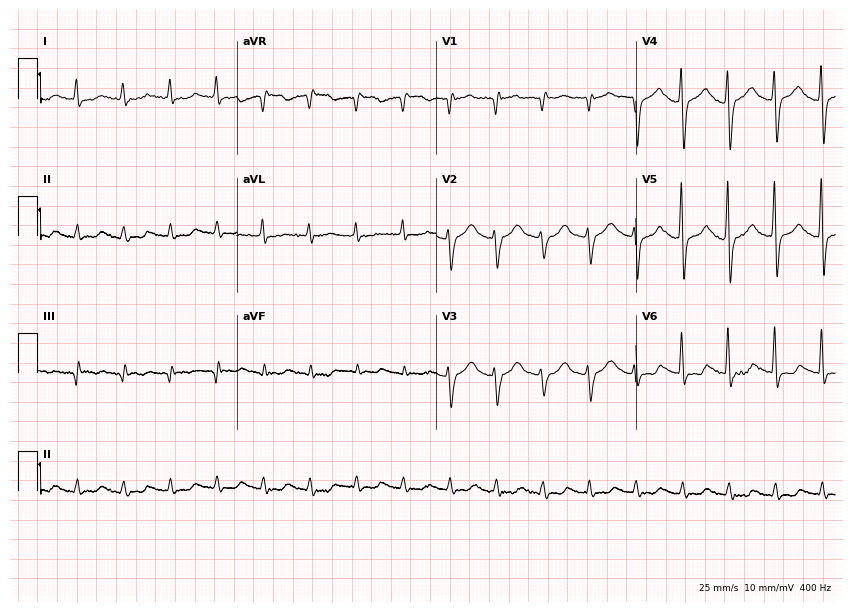
Electrocardiogram (8.1-second recording at 400 Hz), a male, 70 years old. Interpretation includes sinus tachycardia (a sinus rate of 100 beats per minute or more).